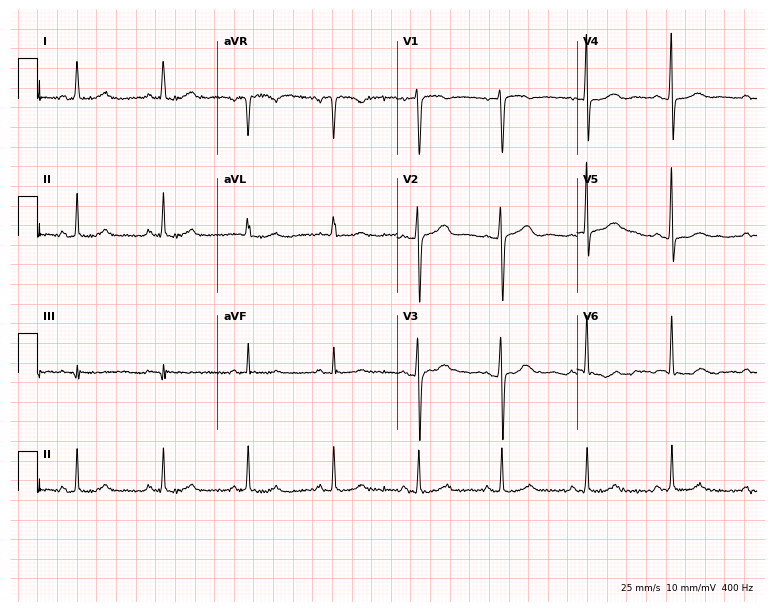
12-lead ECG (7.3-second recording at 400 Hz) from a female patient, 69 years old. Screened for six findings — first-degree AV block, right bundle branch block, left bundle branch block, sinus bradycardia, atrial fibrillation, sinus tachycardia — none is recorded. Findings outside these six are not listed.